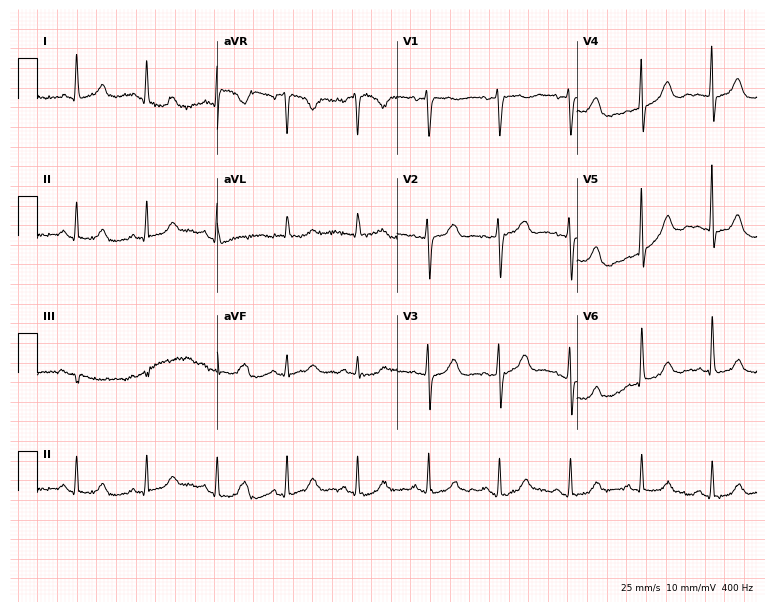
Resting 12-lead electrocardiogram. Patient: a 70-year-old female. Read as a normal ECG.